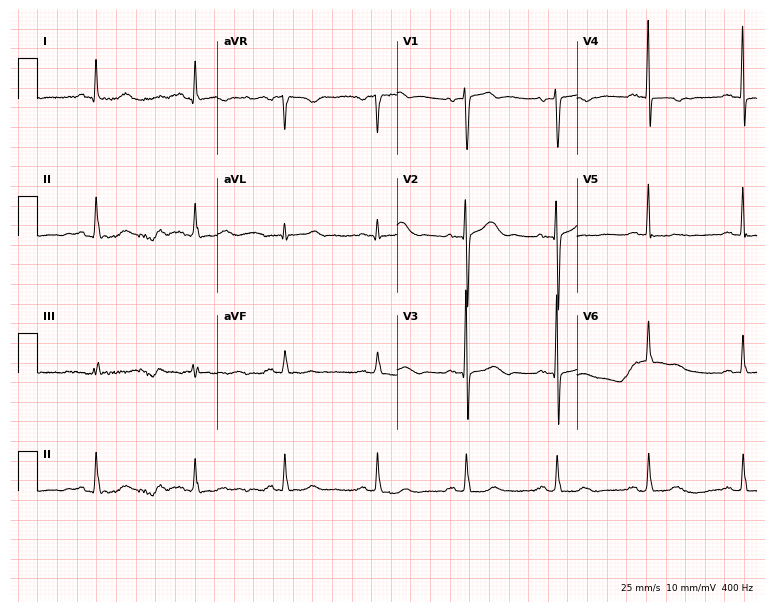
ECG — a 70-year-old woman. Screened for six findings — first-degree AV block, right bundle branch block, left bundle branch block, sinus bradycardia, atrial fibrillation, sinus tachycardia — none is recorded.